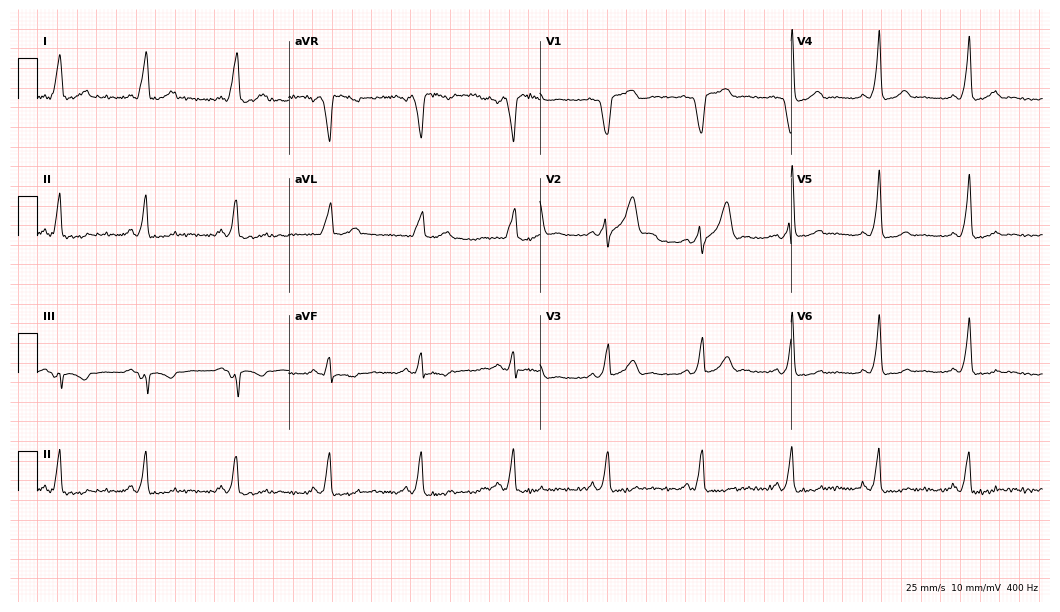
Electrocardiogram, a male, 37 years old. Of the six screened findings (first-degree AV block, right bundle branch block (RBBB), left bundle branch block (LBBB), sinus bradycardia, atrial fibrillation (AF), sinus tachycardia), none is recorded.